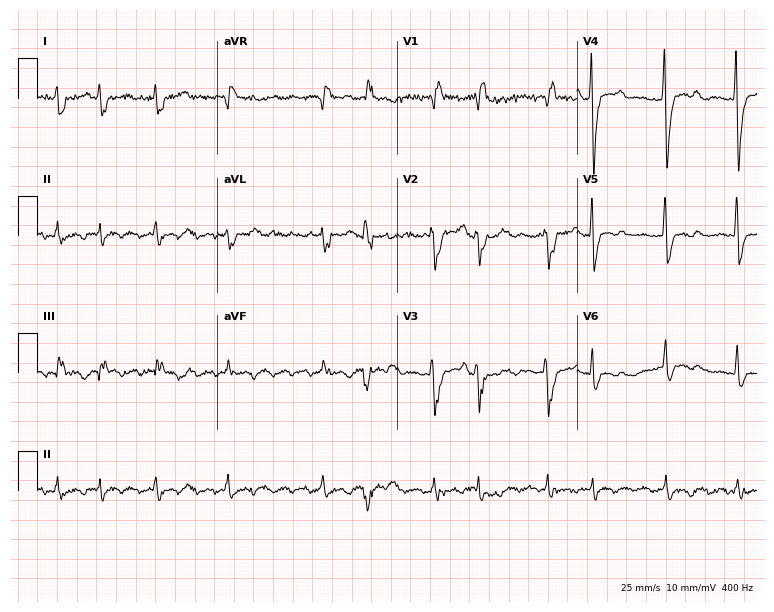
Resting 12-lead electrocardiogram (7.3-second recording at 400 Hz). Patient: a 76-year-old woman. The tracing shows right bundle branch block, left bundle branch block, atrial fibrillation.